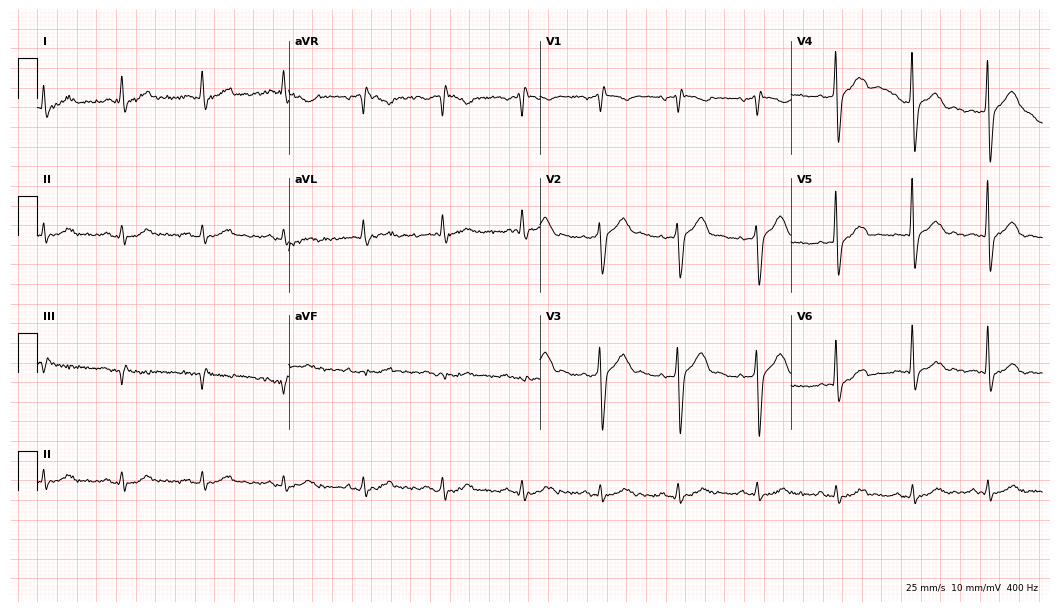
ECG (10.2-second recording at 400 Hz) — a 63-year-old male patient. Screened for six findings — first-degree AV block, right bundle branch block (RBBB), left bundle branch block (LBBB), sinus bradycardia, atrial fibrillation (AF), sinus tachycardia — none is recorded.